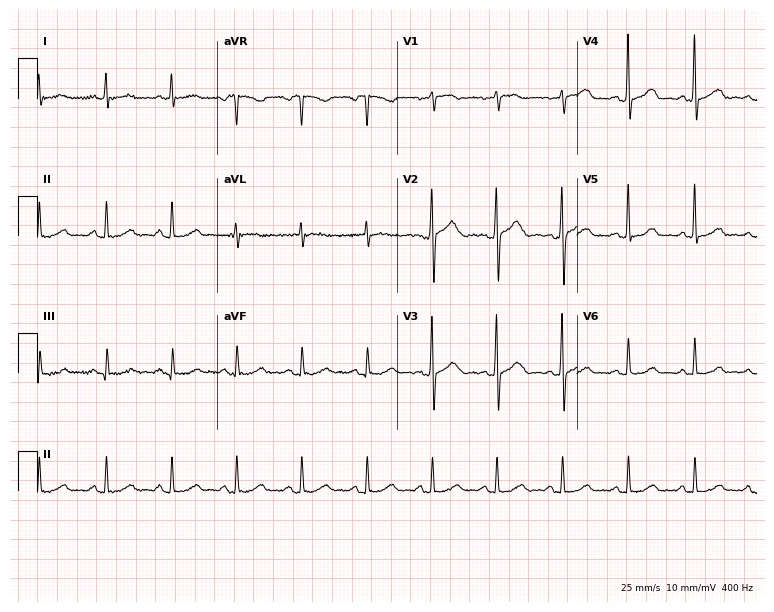
Electrocardiogram, a 53-year-old woman. Of the six screened findings (first-degree AV block, right bundle branch block (RBBB), left bundle branch block (LBBB), sinus bradycardia, atrial fibrillation (AF), sinus tachycardia), none is recorded.